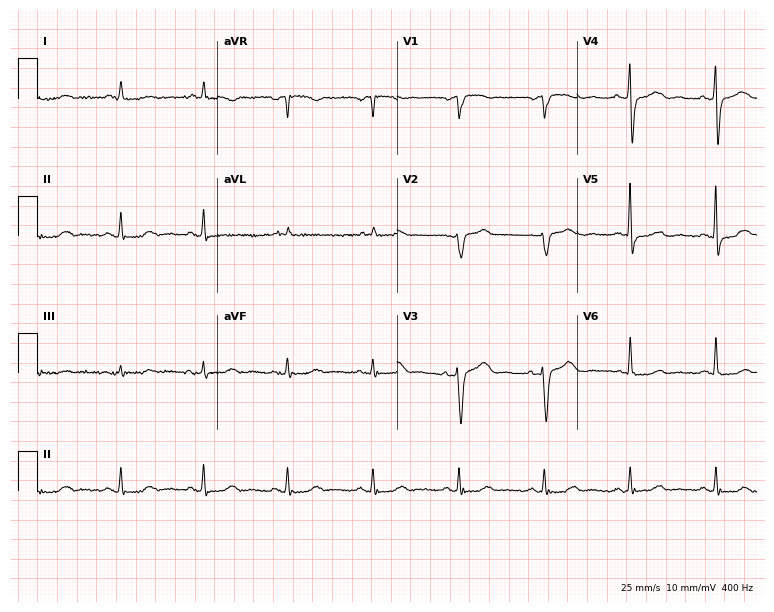
ECG — a man, 65 years old. Screened for six findings — first-degree AV block, right bundle branch block, left bundle branch block, sinus bradycardia, atrial fibrillation, sinus tachycardia — none is recorded. Findings outside these six are not listed.